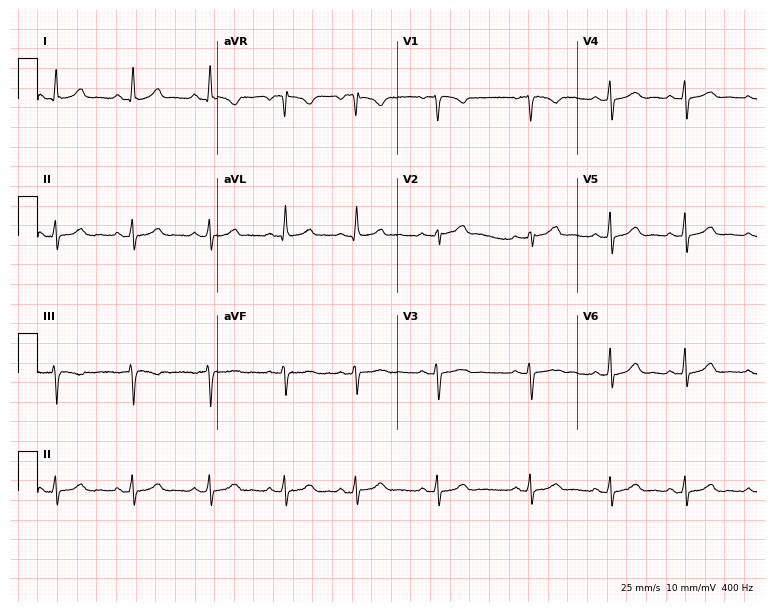
Standard 12-lead ECG recorded from a 29-year-old female patient (7.3-second recording at 400 Hz). Read as a normal ECG.